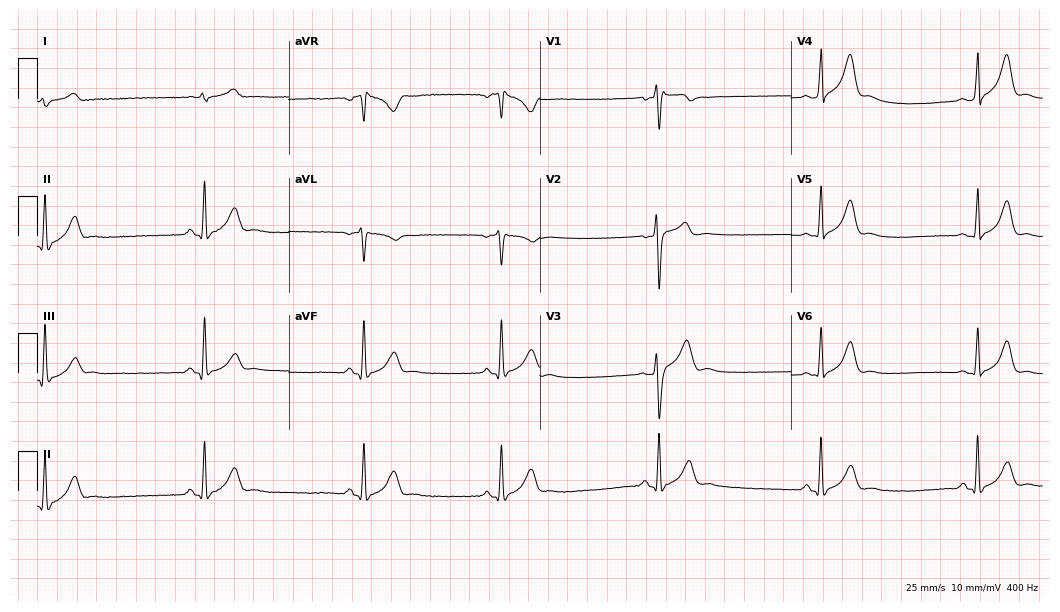
ECG — a male, 26 years old. Screened for six findings — first-degree AV block, right bundle branch block, left bundle branch block, sinus bradycardia, atrial fibrillation, sinus tachycardia — none is recorded. Only these six findings were labelled.